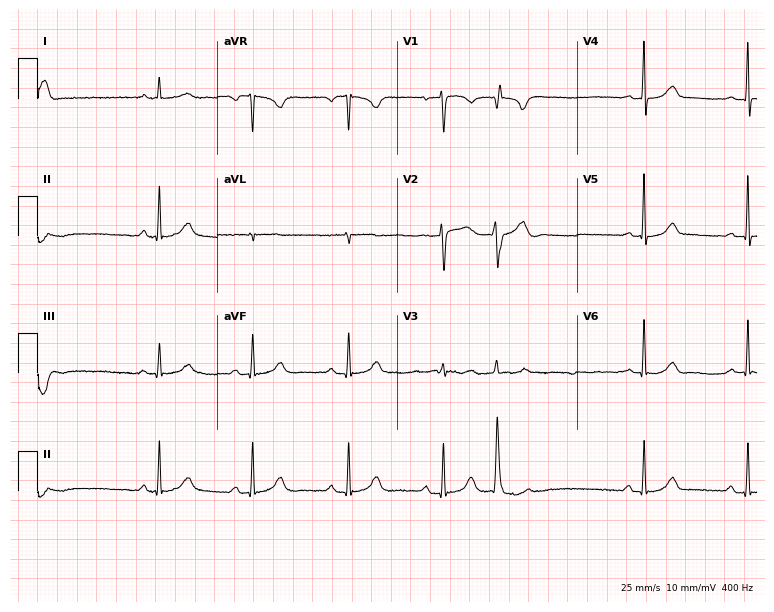
12-lead ECG from a woman, 36 years old (7.3-second recording at 400 Hz). Recorded interpretation: within normal limits.